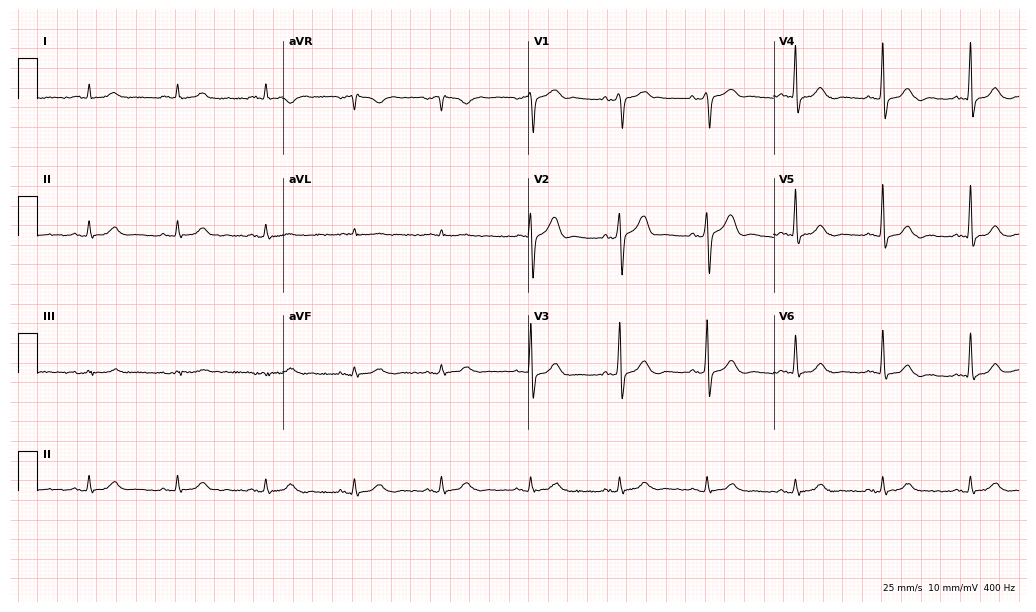
12-lead ECG from a 69-year-old male patient (10-second recording at 400 Hz). No first-degree AV block, right bundle branch block, left bundle branch block, sinus bradycardia, atrial fibrillation or sinus tachycardia recorded for this tracing. Findings outside these six are not listed.